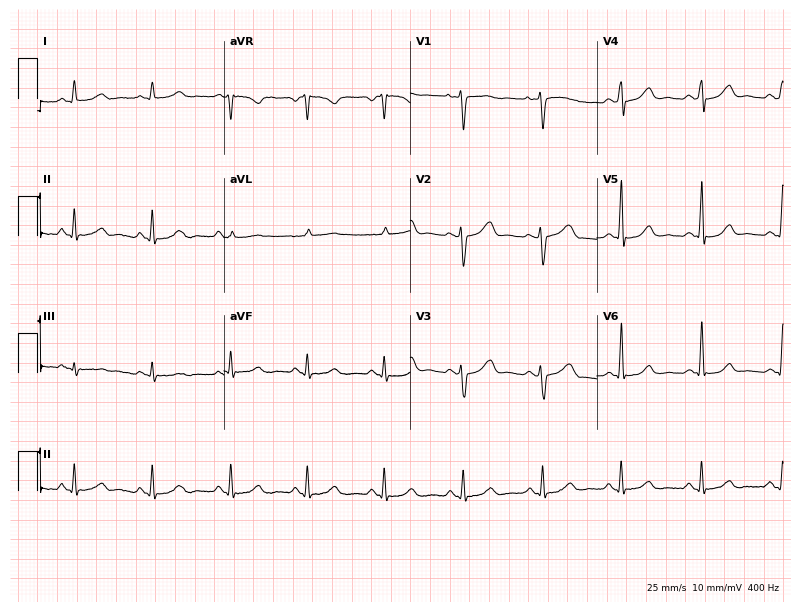
ECG — a 57-year-old female. Labelled as a normal ECG.